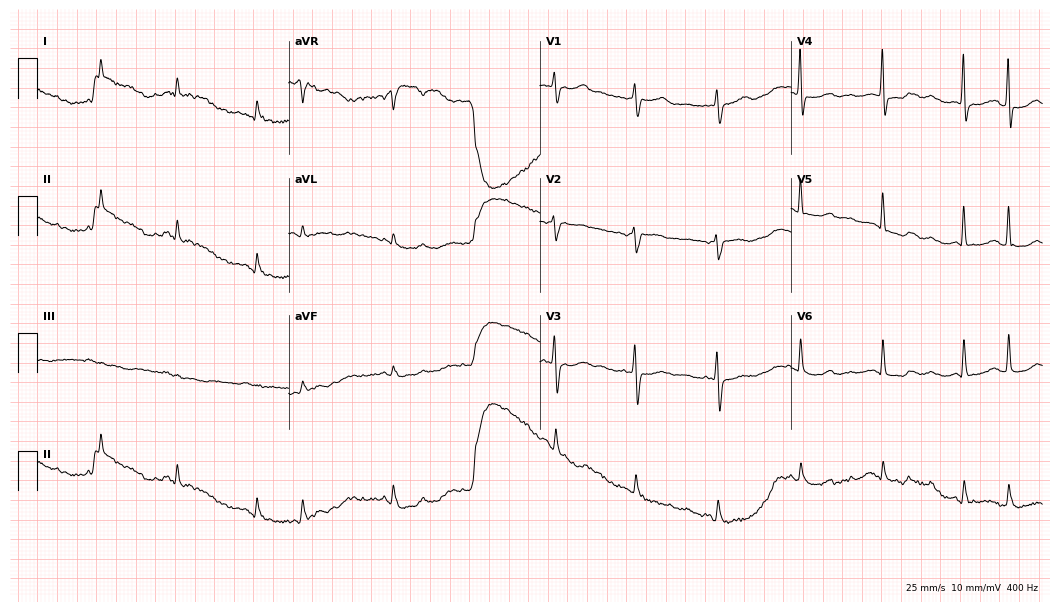
Electrocardiogram (10.2-second recording at 400 Hz), a 66-year-old woman. Of the six screened findings (first-degree AV block, right bundle branch block (RBBB), left bundle branch block (LBBB), sinus bradycardia, atrial fibrillation (AF), sinus tachycardia), none is recorded.